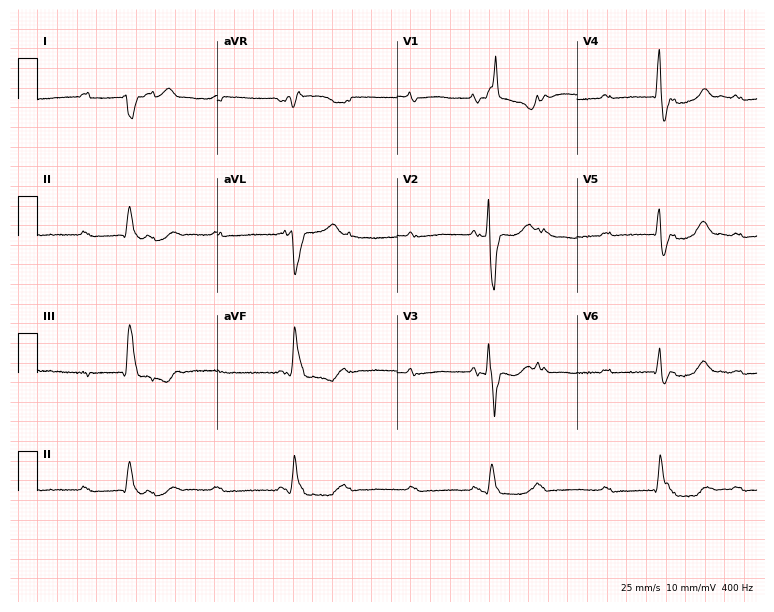
12-lead ECG from a 57-year-old man. No first-degree AV block, right bundle branch block (RBBB), left bundle branch block (LBBB), sinus bradycardia, atrial fibrillation (AF) or sinus tachycardia recorded for this tracing. Other findings, if any, are not listed.